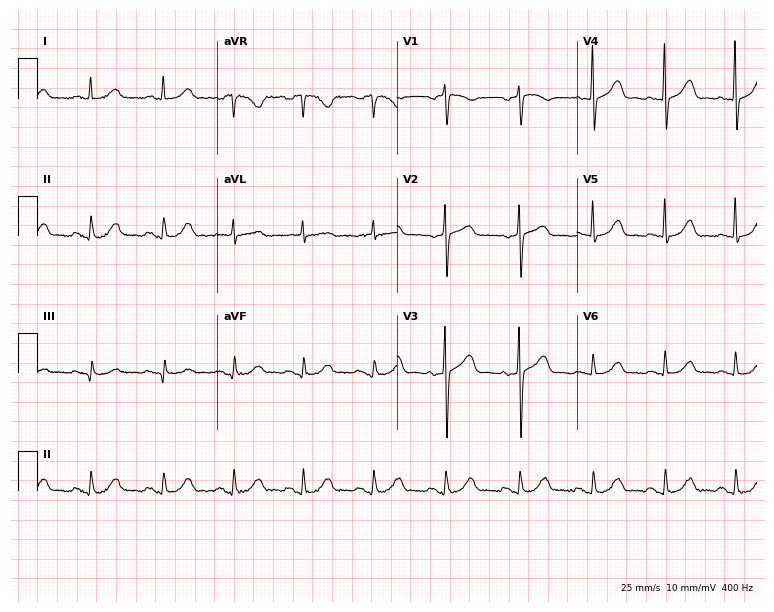
ECG — a 73-year-old female. Screened for six findings — first-degree AV block, right bundle branch block, left bundle branch block, sinus bradycardia, atrial fibrillation, sinus tachycardia — none is recorded.